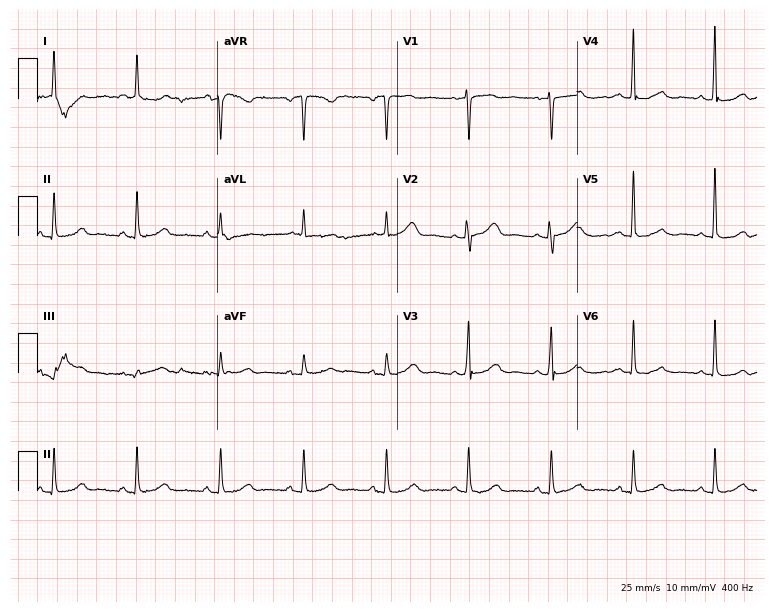
12-lead ECG (7.3-second recording at 400 Hz) from a woman, 61 years old. Screened for six findings — first-degree AV block, right bundle branch block, left bundle branch block, sinus bradycardia, atrial fibrillation, sinus tachycardia — none is recorded.